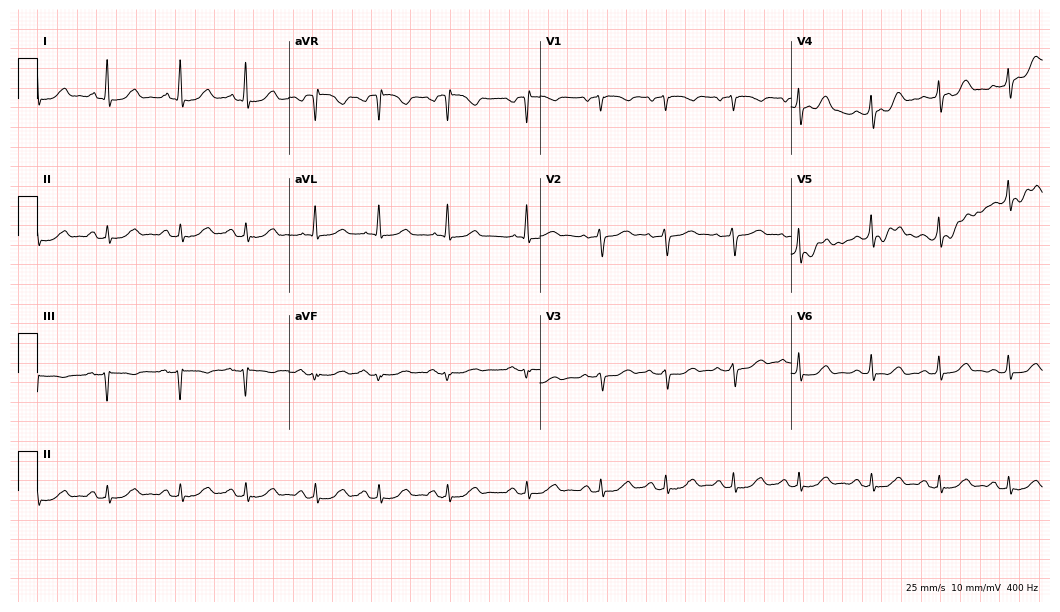
Electrocardiogram, a 69-year-old woman. Of the six screened findings (first-degree AV block, right bundle branch block (RBBB), left bundle branch block (LBBB), sinus bradycardia, atrial fibrillation (AF), sinus tachycardia), none is recorded.